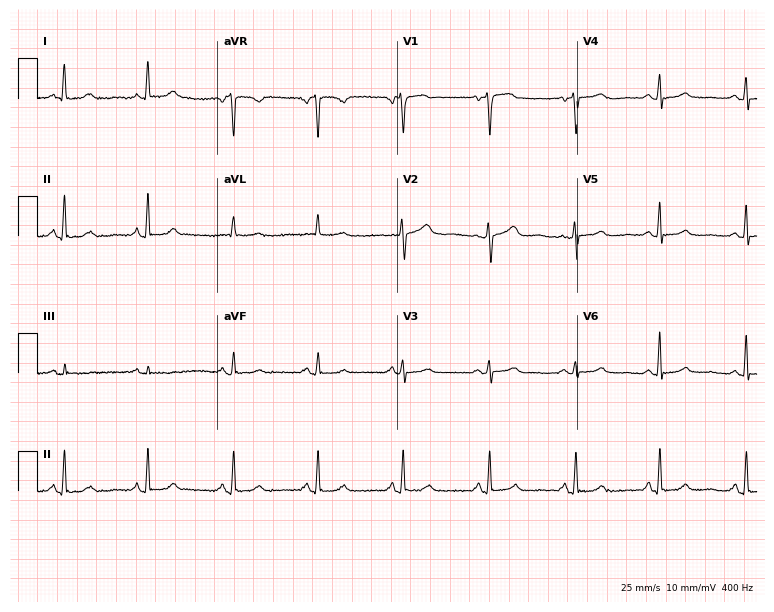
Electrocardiogram, a female patient, 67 years old. Of the six screened findings (first-degree AV block, right bundle branch block (RBBB), left bundle branch block (LBBB), sinus bradycardia, atrial fibrillation (AF), sinus tachycardia), none is recorded. Only these six findings were labelled.